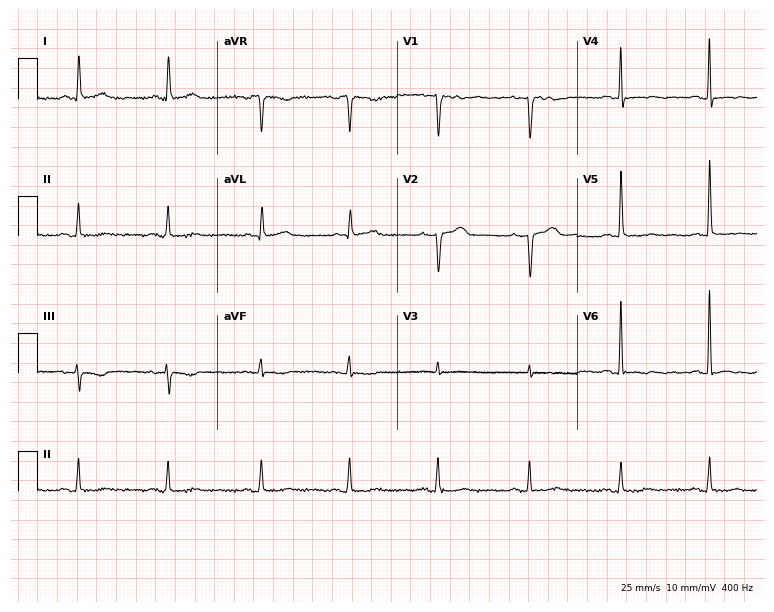
ECG (7.3-second recording at 400 Hz) — a female, 58 years old. Screened for six findings — first-degree AV block, right bundle branch block, left bundle branch block, sinus bradycardia, atrial fibrillation, sinus tachycardia — none is recorded. Only these six findings were labelled.